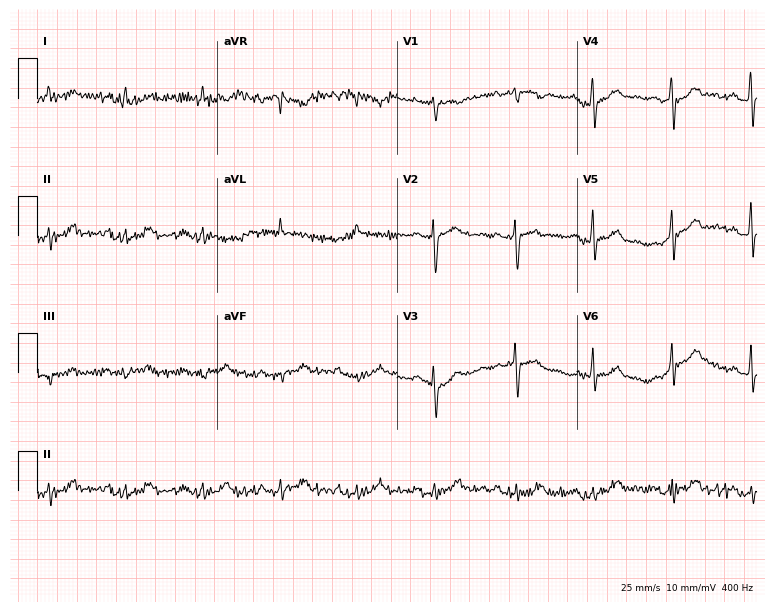
ECG (7.3-second recording at 400 Hz) — a male patient, 78 years old. Screened for six findings — first-degree AV block, right bundle branch block, left bundle branch block, sinus bradycardia, atrial fibrillation, sinus tachycardia — none is recorded.